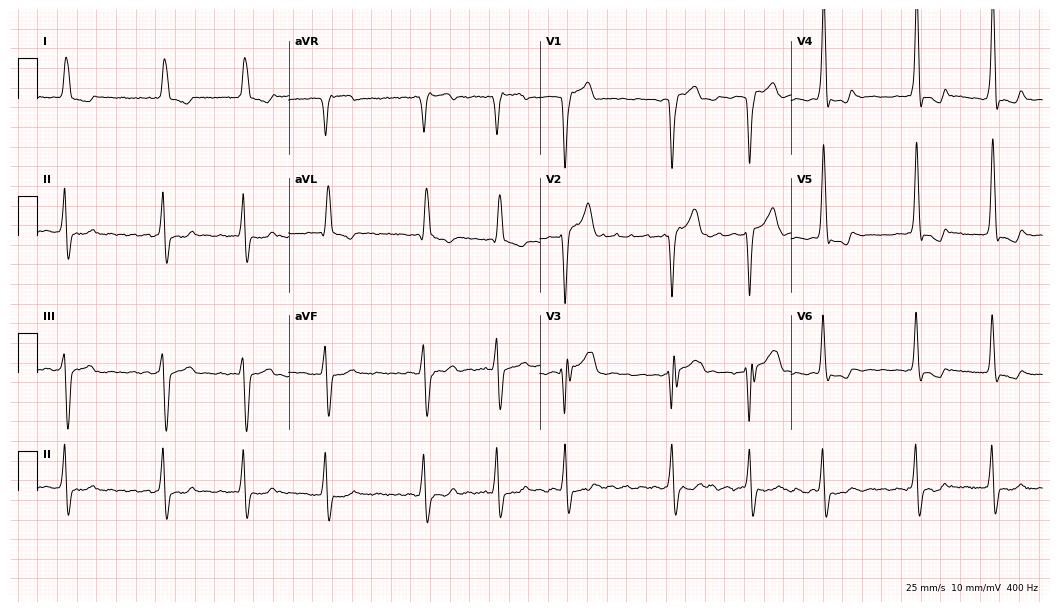
ECG (10.2-second recording at 400 Hz) — an 85-year-old male. Findings include atrial fibrillation.